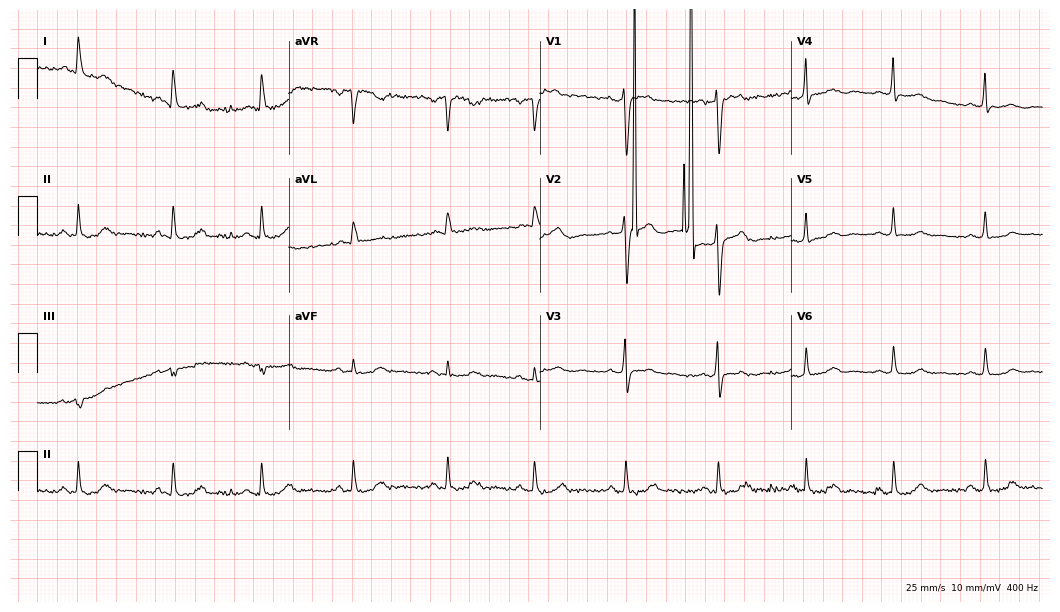
12-lead ECG from a woman, 38 years old. Screened for six findings — first-degree AV block, right bundle branch block (RBBB), left bundle branch block (LBBB), sinus bradycardia, atrial fibrillation (AF), sinus tachycardia — none is recorded.